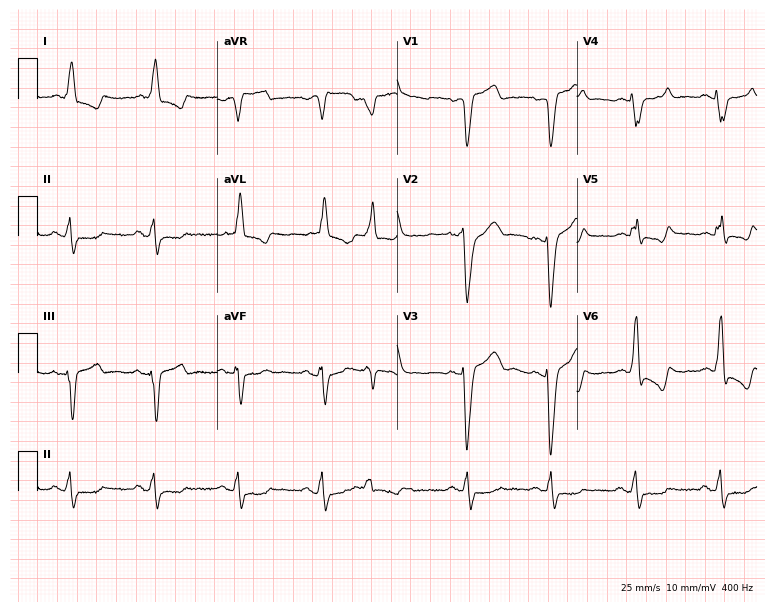
12-lead ECG from a man, 83 years old (7.3-second recording at 400 Hz). Shows atrial fibrillation.